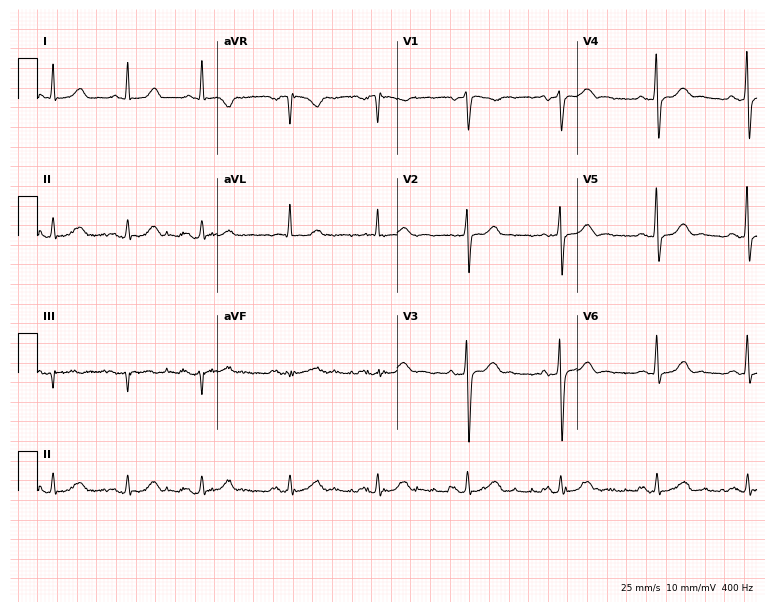
Electrocardiogram, a male patient, 58 years old. Overall reading on record: normal ECG.